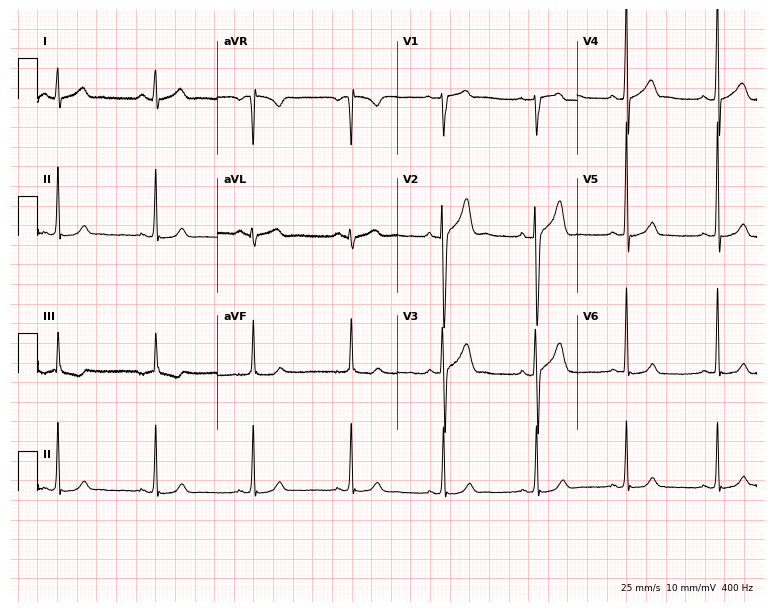
Resting 12-lead electrocardiogram. Patient: a man, 18 years old. None of these six findings is recorded: first-degree AV block, right bundle branch block, left bundle branch block, sinus bradycardia, atrial fibrillation, sinus tachycardia. Only these six findings were labelled.